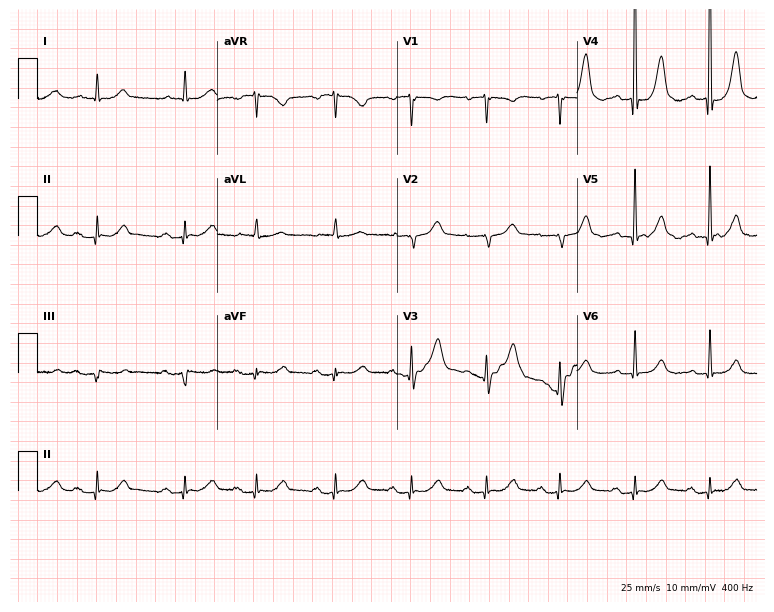
ECG — a 78-year-old female. Labelled as a normal ECG.